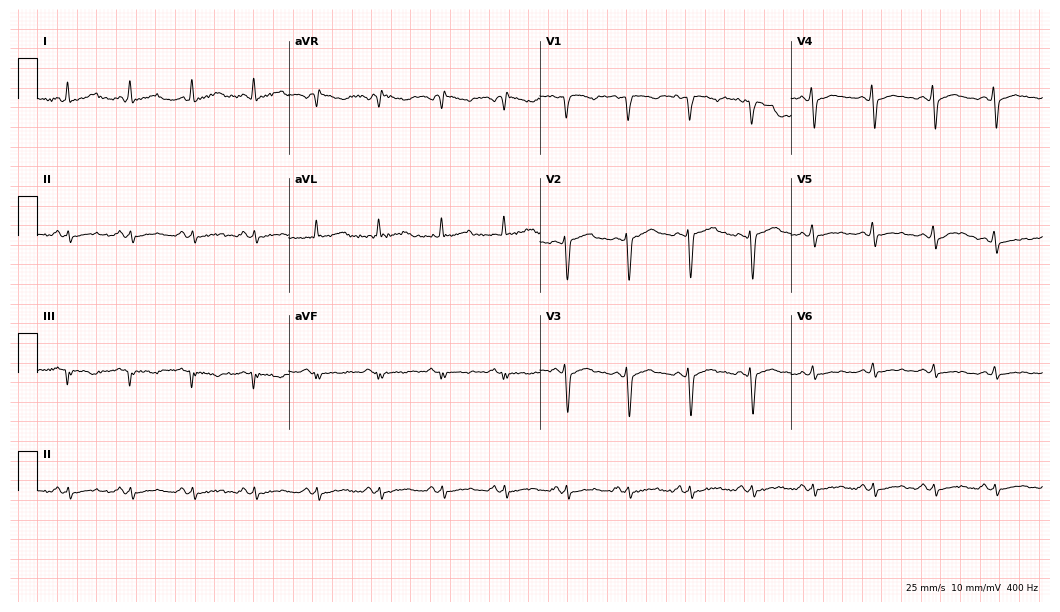
Standard 12-lead ECG recorded from a male, 55 years old. None of these six findings is recorded: first-degree AV block, right bundle branch block, left bundle branch block, sinus bradycardia, atrial fibrillation, sinus tachycardia.